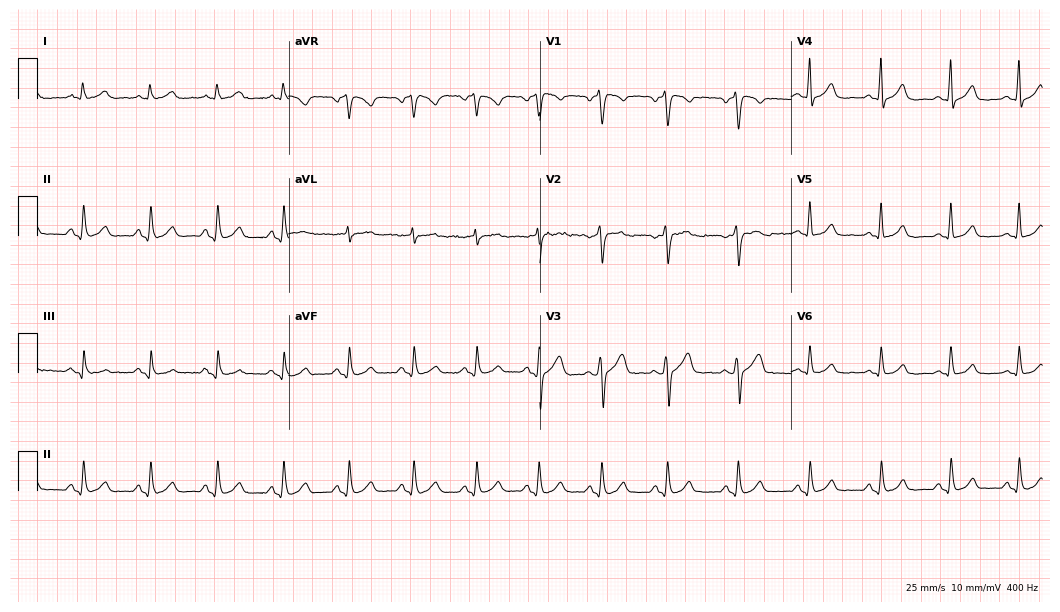
Standard 12-lead ECG recorded from a male patient, 48 years old (10.2-second recording at 400 Hz). None of these six findings is recorded: first-degree AV block, right bundle branch block (RBBB), left bundle branch block (LBBB), sinus bradycardia, atrial fibrillation (AF), sinus tachycardia.